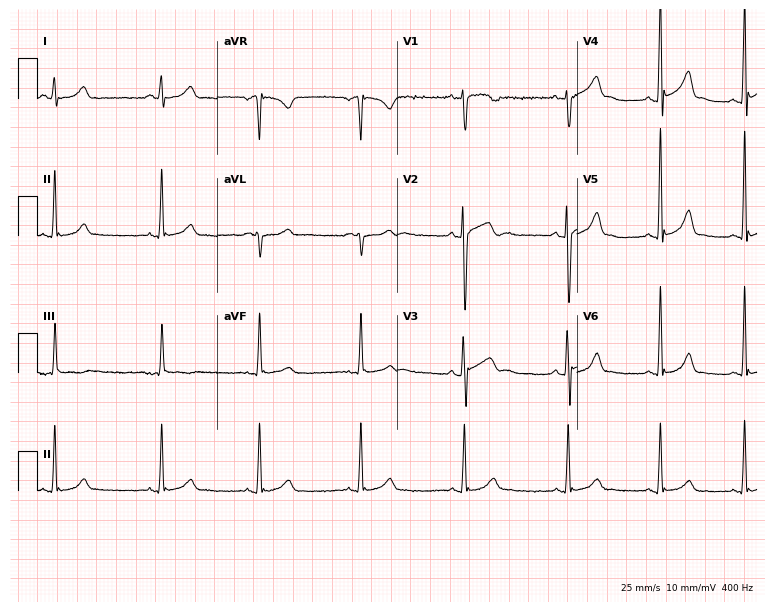
Resting 12-lead electrocardiogram. Patient: a 24-year-old man. Read as a normal ECG.